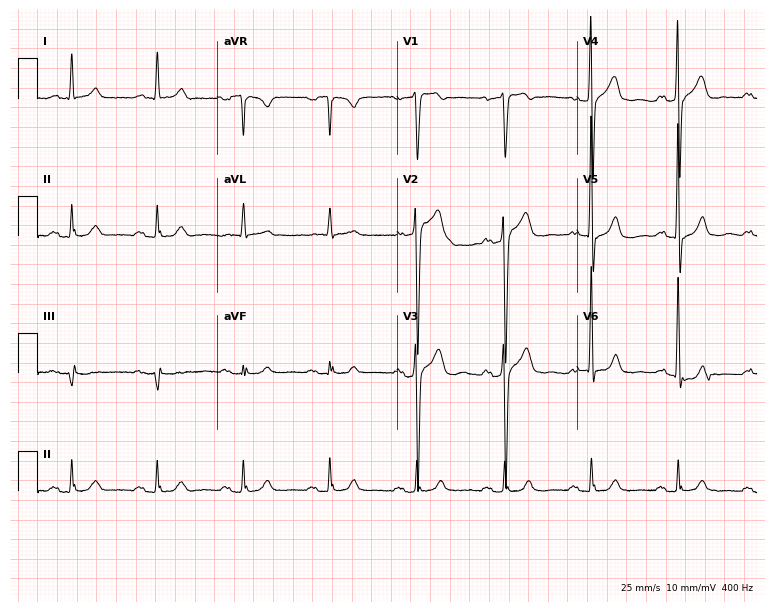
Electrocardiogram (7.3-second recording at 400 Hz), a male, 65 years old. Of the six screened findings (first-degree AV block, right bundle branch block (RBBB), left bundle branch block (LBBB), sinus bradycardia, atrial fibrillation (AF), sinus tachycardia), none is recorded. Other findings, if any, are not listed.